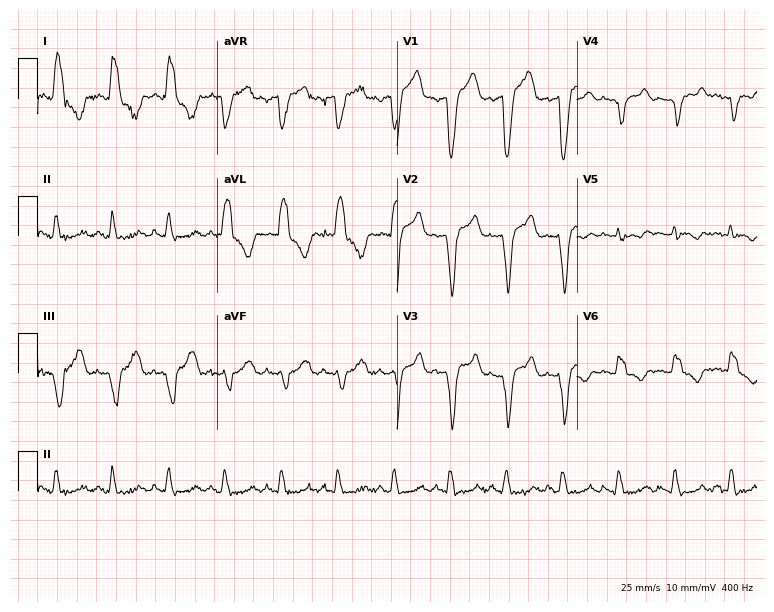
ECG — a male patient, 62 years old. Findings include left bundle branch block, sinus tachycardia (a sinus rate of 100 beats per minute or more).